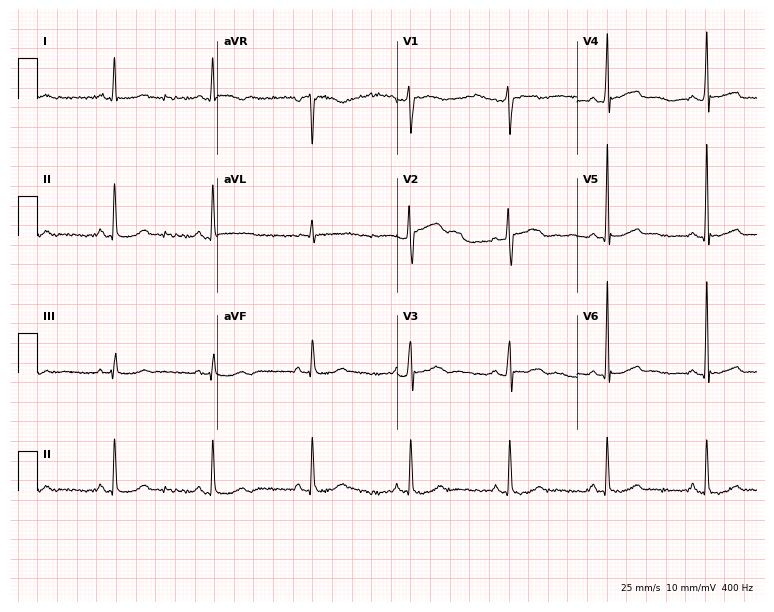
Standard 12-lead ECG recorded from a woman, 52 years old (7.3-second recording at 400 Hz). None of these six findings is recorded: first-degree AV block, right bundle branch block (RBBB), left bundle branch block (LBBB), sinus bradycardia, atrial fibrillation (AF), sinus tachycardia. Findings outside these six are not listed.